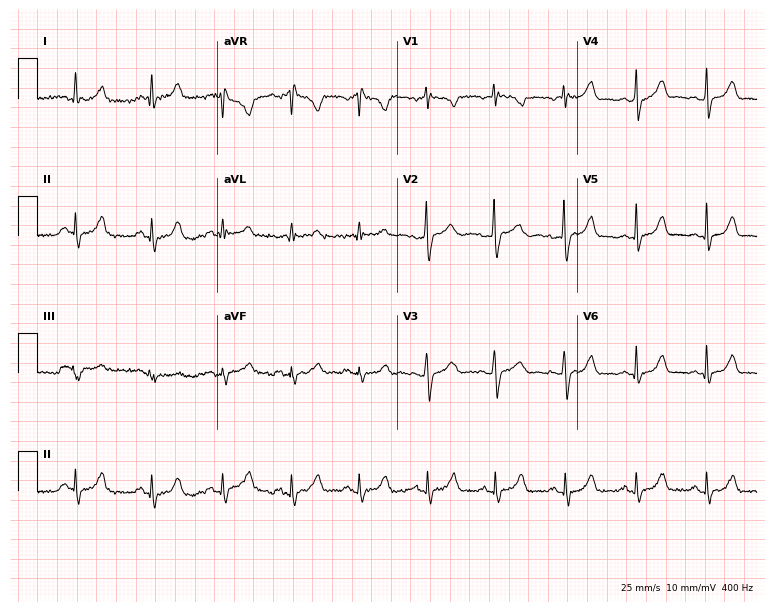
12-lead ECG from a 24-year-old female patient. Labelled as a normal ECG.